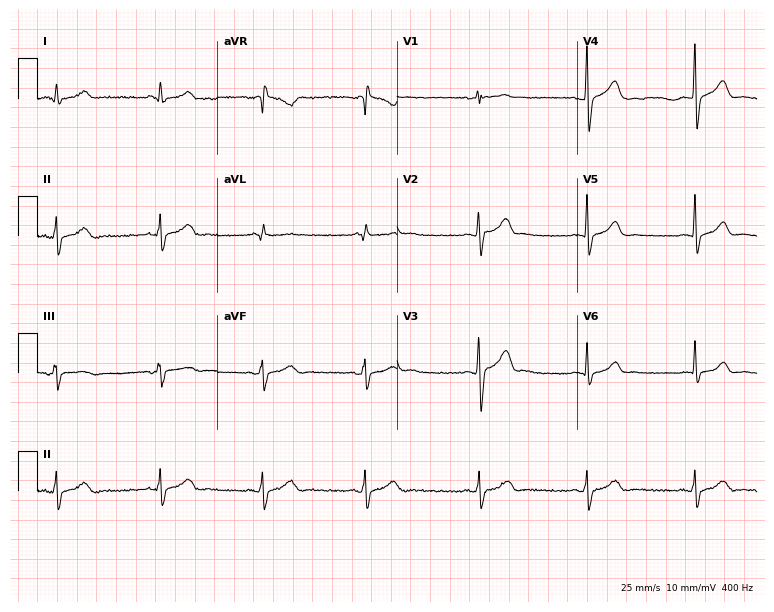
12-lead ECG (7.3-second recording at 400 Hz) from a 40-year-old man. Screened for six findings — first-degree AV block, right bundle branch block, left bundle branch block, sinus bradycardia, atrial fibrillation, sinus tachycardia — none is recorded. Other findings, if any, are not listed.